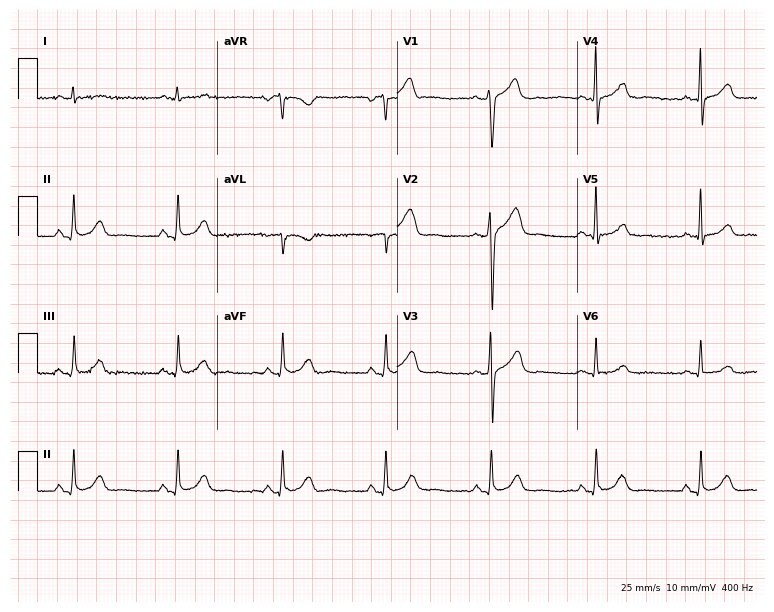
Electrocardiogram (7.3-second recording at 400 Hz), a 60-year-old man. Overall reading on record: normal ECG.